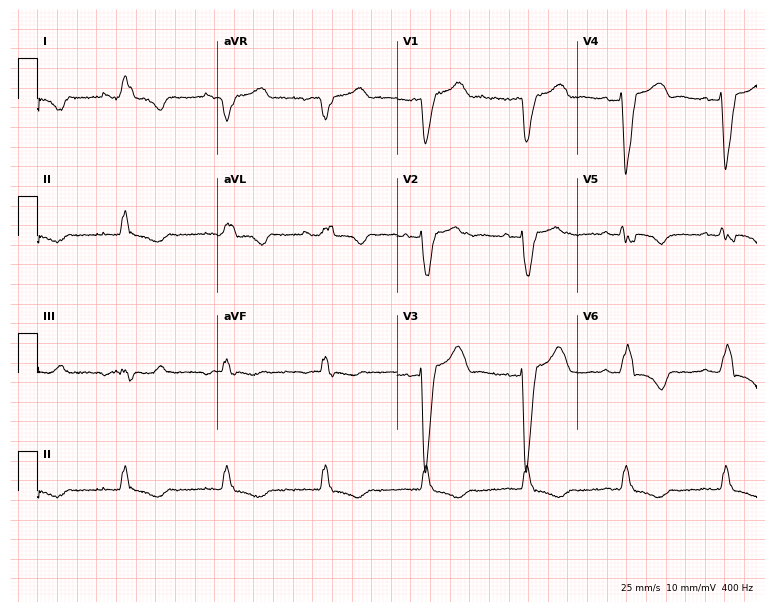
Resting 12-lead electrocardiogram. Patient: a man, 68 years old. None of these six findings is recorded: first-degree AV block, right bundle branch block, left bundle branch block, sinus bradycardia, atrial fibrillation, sinus tachycardia.